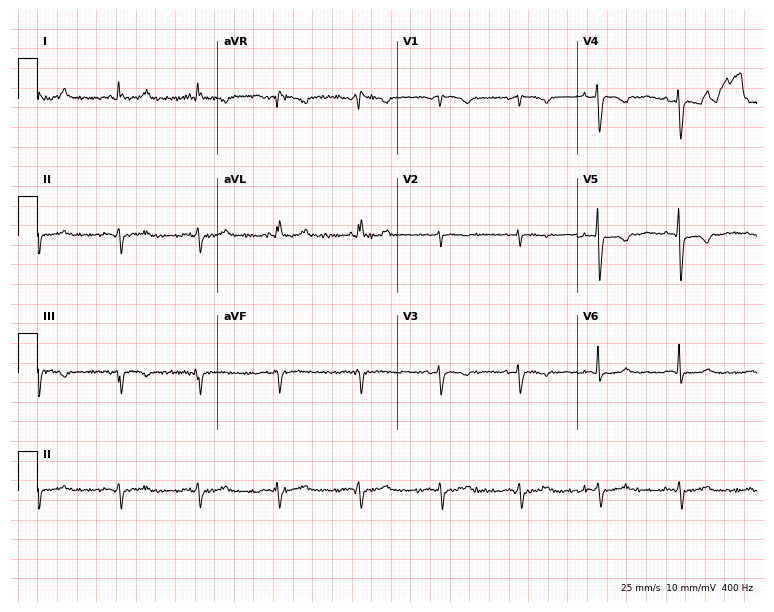
Electrocardiogram, a 63-year-old female. Of the six screened findings (first-degree AV block, right bundle branch block, left bundle branch block, sinus bradycardia, atrial fibrillation, sinus tachycardia), none is recorded. Other findings, if any, are not listed.